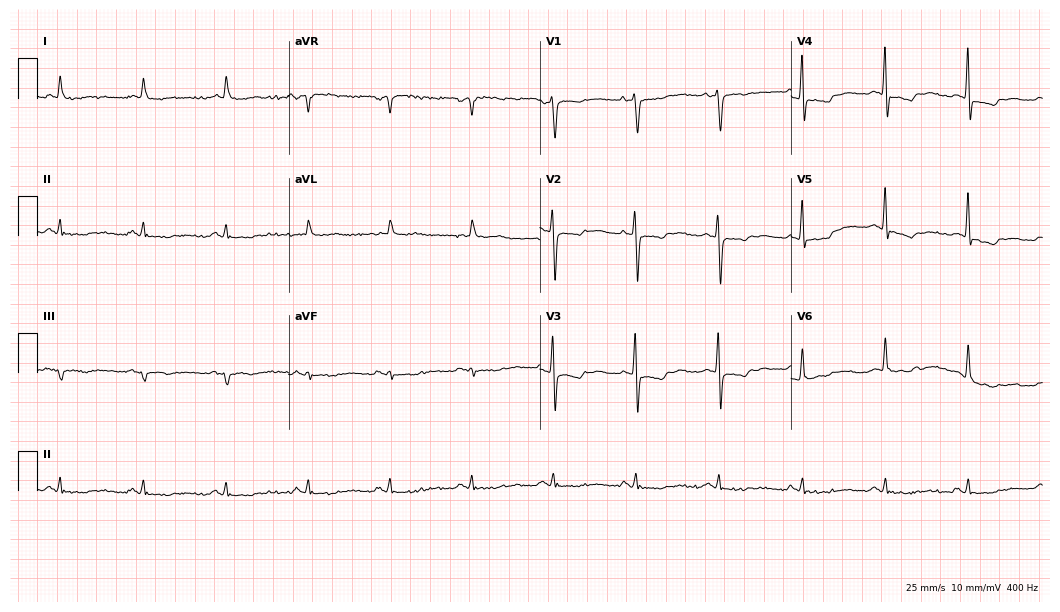
Resting 12-lead electrocardiogram. Patient: a 73-year-old male. None of these six findings is recorded: first-degree AV block, right bundle branch block, left bundle branch block, sinus bradycardia, atrial fibrillation, sinus tachycardia. Other findings, if any, are not listed.